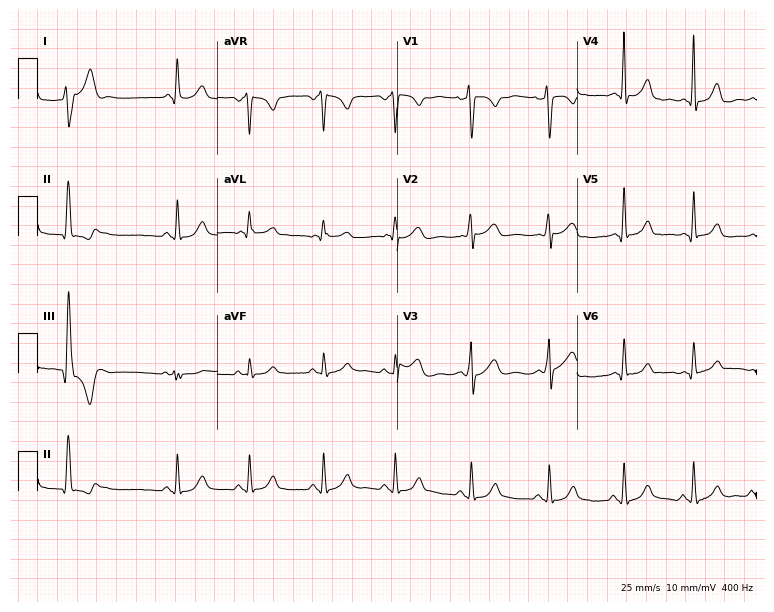
ECG — a female patient, 35 years old. Screened for six findings — first-degree AV block, right bundle branch block (RBBB), left bundle branch block (LBBB), sinus bradycardia, atrial fibrillation (AF), sinus tachycardia — none is recorded.